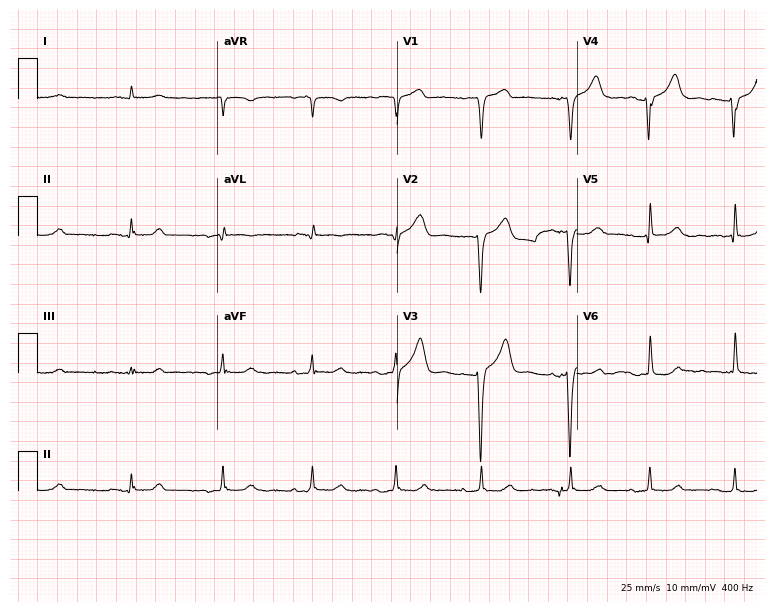
12-lead ECG from a man, 79 years old. No first-degree AV block, right bundle branch block, left bundle branch block, sinus bradycardia, atrial fibrillation or sinus tachycardia recorded for this tracing.